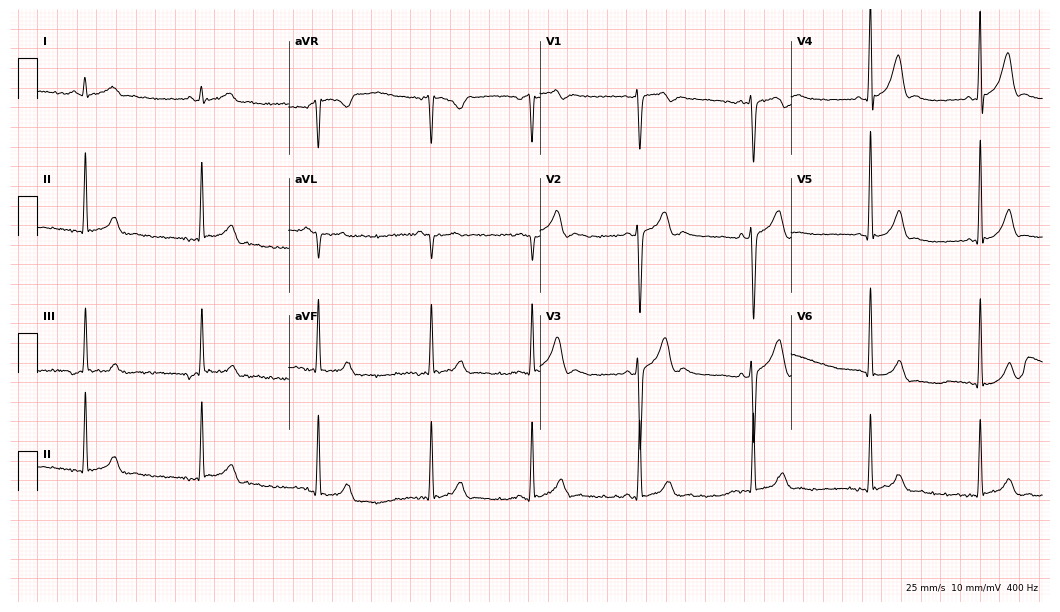
12-lead ECG from a 22-year-old male (10.2-second recording at 400 Hz). Recorded interpretation: within normal limits.